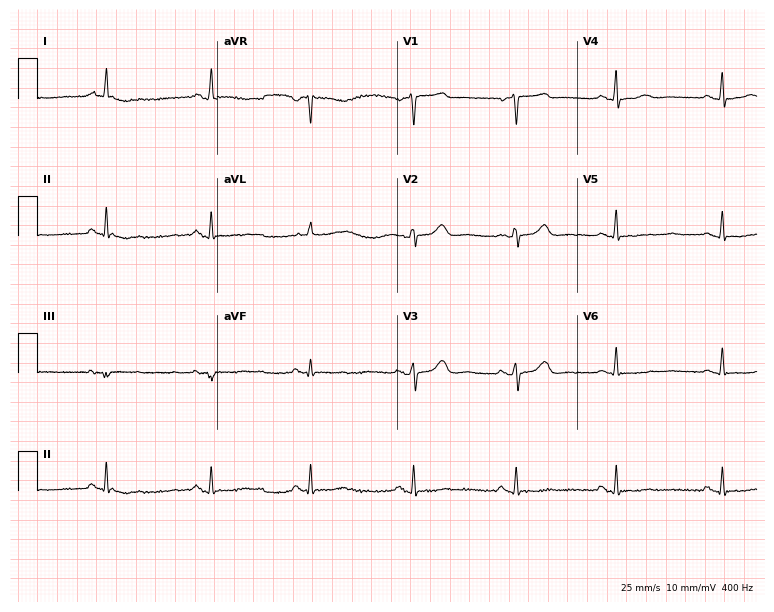
Resting 12-lead electrocardiogram. Patient: a female, 54 years old. None of these six findings is recorded: first-degree AV block, right bundle branch block, left bundle branch block, sinus bradycardia, atrial fibrillation, sinus tachycardia. Only these six findings were labelled.